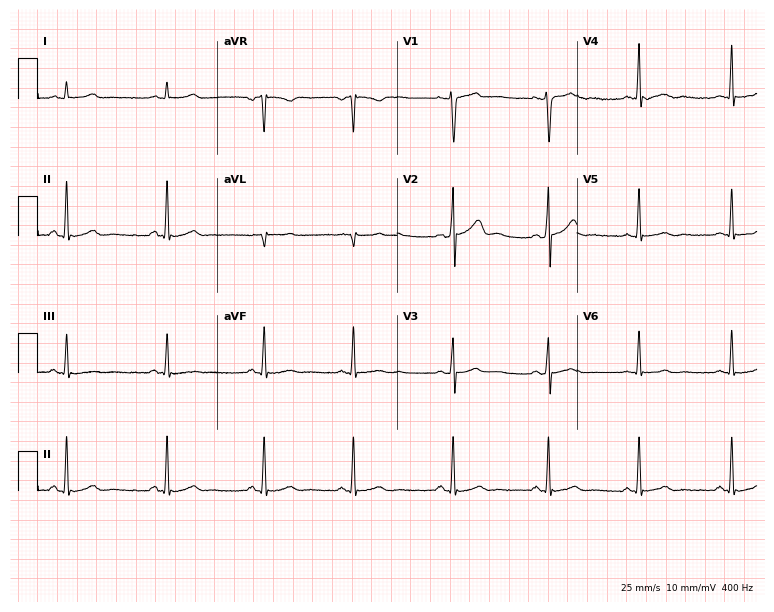
Resting 12-lead electrocardiogram (7.3-second recording at 400 Hz). Patient: a 27-year-old man. None of these six findings is recorded: first-degree AV block, right bundle branch block, left bundle branch block, sinus bradycardia, atrial fibrillation, sinus tachycardia. Other findings, if any, are not listed.